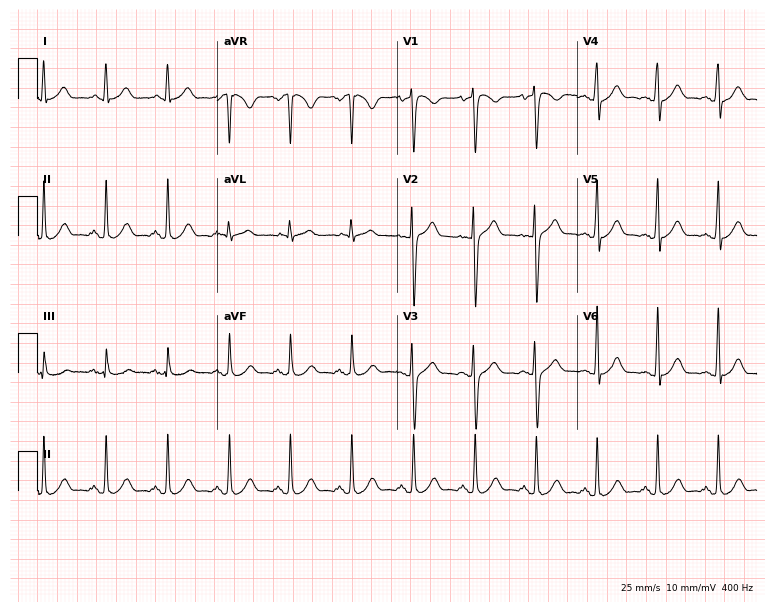
Electrocardiogram (7.3-second recording at 400 Hz), a 33-year-old male. Overall reading on record: normal ECG.